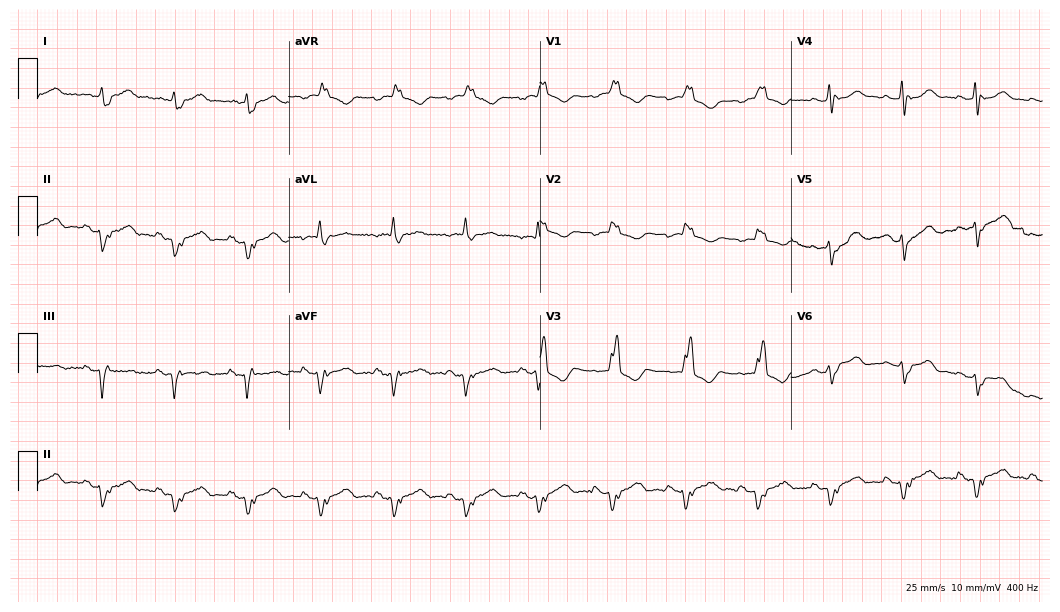
12-lead ECG from a woman, 84 years old (10.2-second recording at 400 Hz). No first-degree AV block, right bundle branch block (RBBB), left bundle branch block (LBBB), sinus bradycardia, atrial fibrillation (AF) or sinus tachycardia recorded for this tracing.